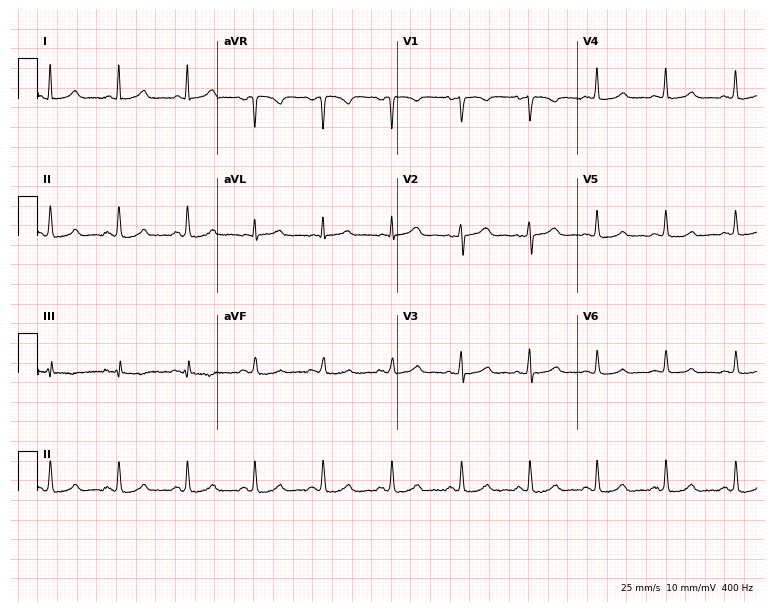
12-lead ECG (7.3-second recording at 400 Hz) from a female, 44 years old. Labelled as a normal ECG.